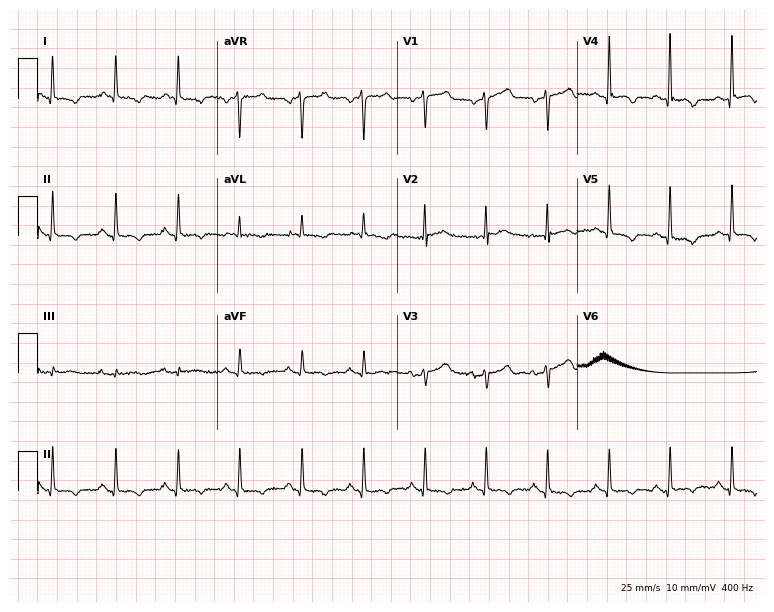
Electrocardiogram, a man, 65 years old. Of the six screened findings (first-degree AV block, right bundle branch block (RBBB), left bundle branch block (LBBB), sinus bradycardia, atrial fibrillation (AF), sinus tachycardia), none is recorded.